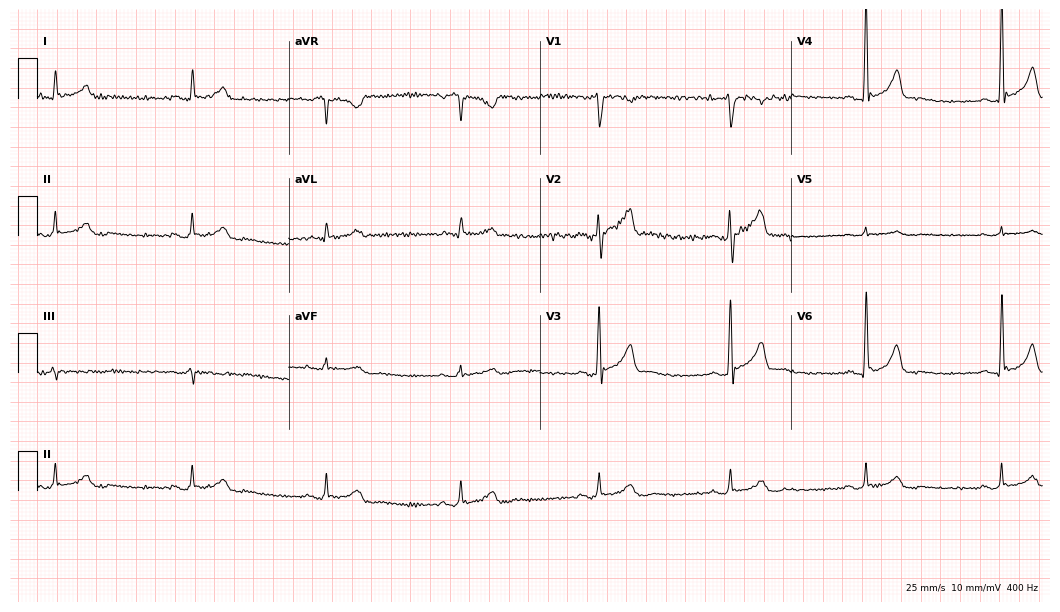
12-lead ECG (10.2-second recording at 400 Hz) from a man, 53 years old. Findings include sinus bradycardia (a sinus rate of 50 beats per minute or less).